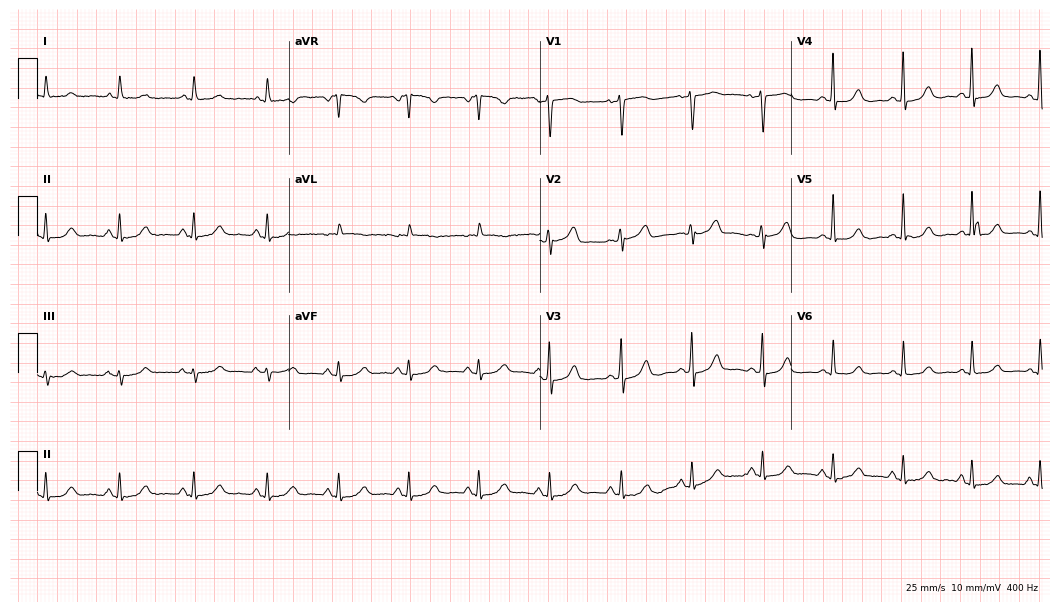
ECG — a female patient, 52 years old. Labelled as a normal ECG.